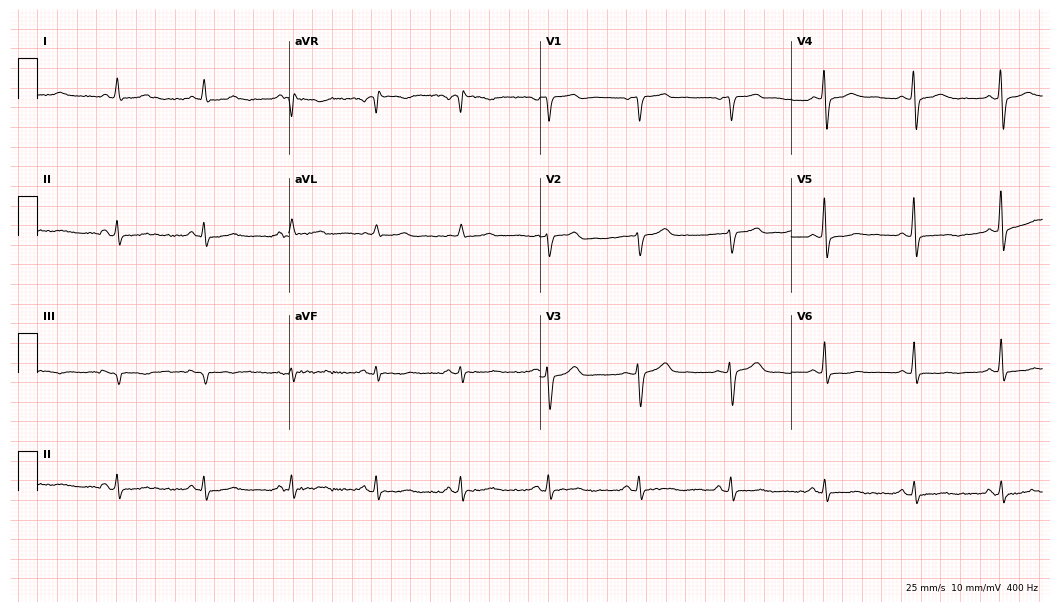
12-lead ECG (10.2-second recording at 400 Hz) from a 74-year-old woman. Screened for six findings — first-degree AV block, right bundle branch block (RBBB), left bundle branch block (LBBB), sinus bradycardia, atrial fibrillation (AF), sinus tachycardia — none is recorded.